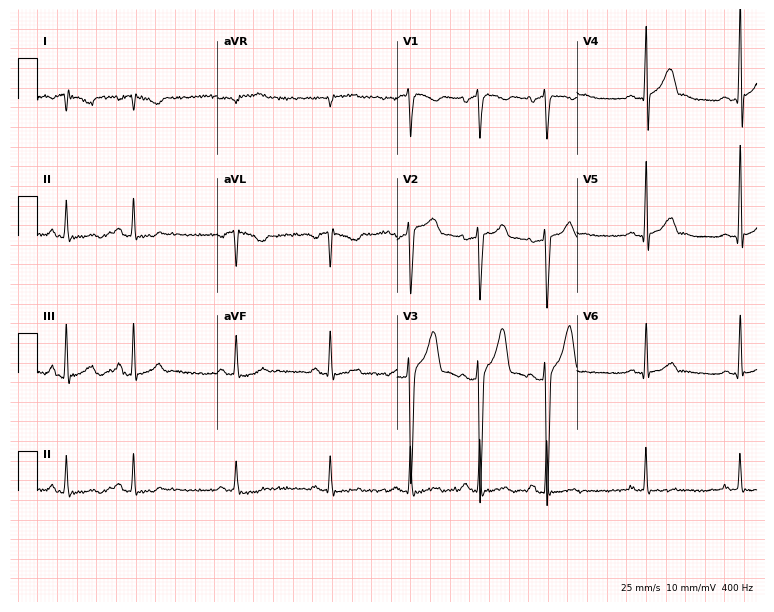
12-lead ECG (7.3-second recording at 400 Hz) from a man, 27 years old. Screened for six findings — first-degree AV block, right bundle branch block, left bundle branch block, sinus bradycardia, atrial fibrillation, sinus tachycardia — none is recorded. Other findings, if any, are not listed.